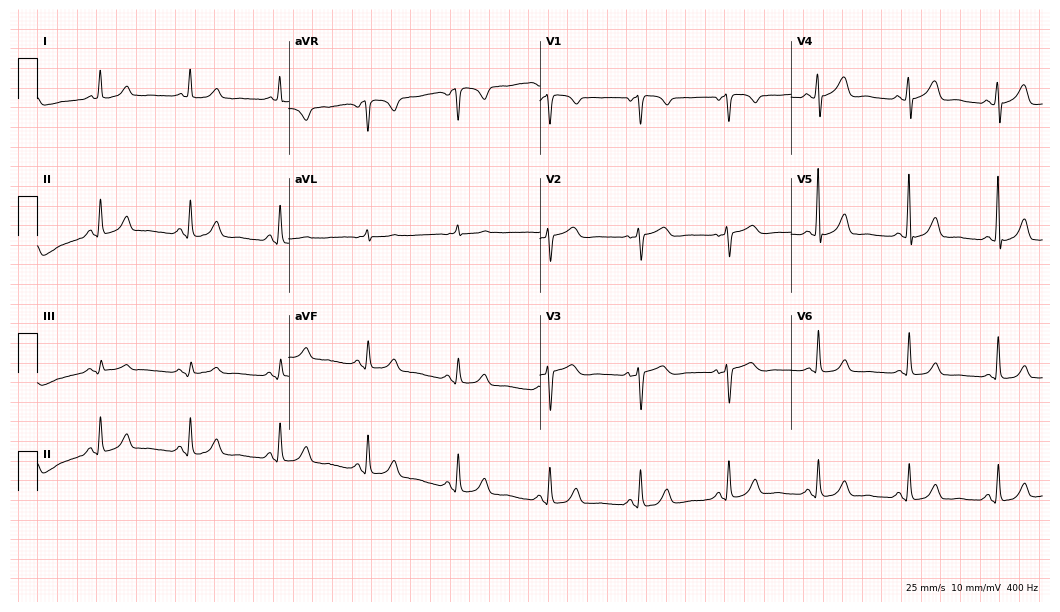
12-lead ECG from a 65-year-old female patient. Recorded interpretation: within normal limits.